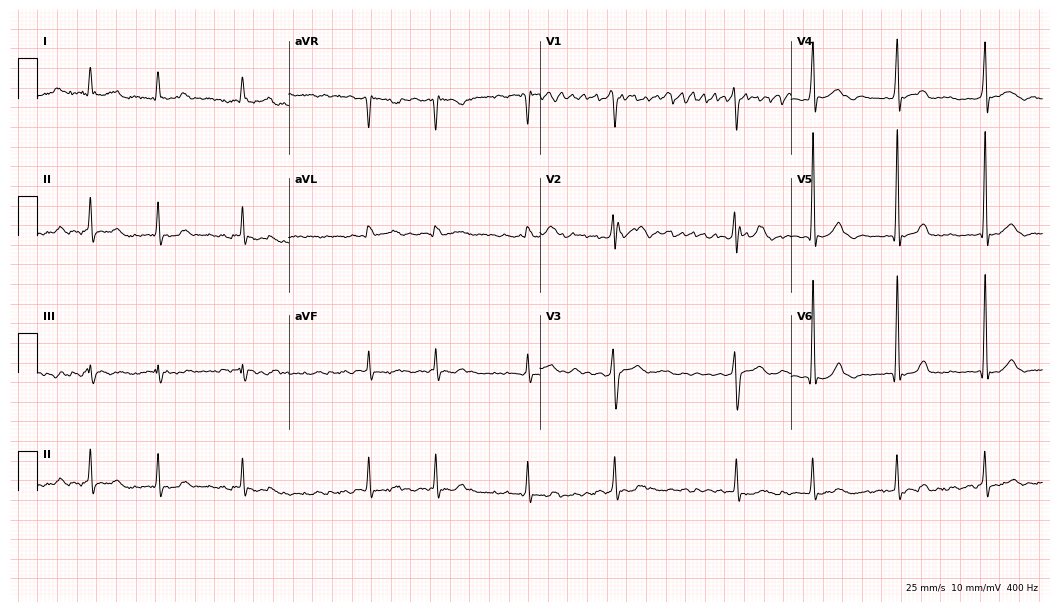
Electrocardiogram, a woman, 25 years old. Interpretation includes atrial fibrillation.